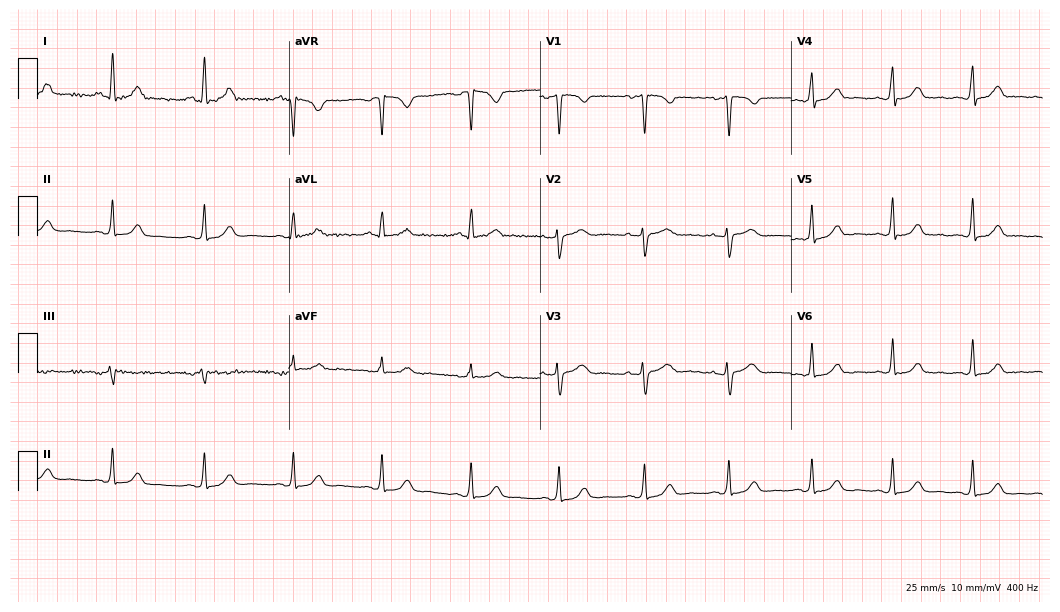
ECG (10.2-second recording at 400 Hz) — a female patient, 41 years old. Labelled as a normal ECG.